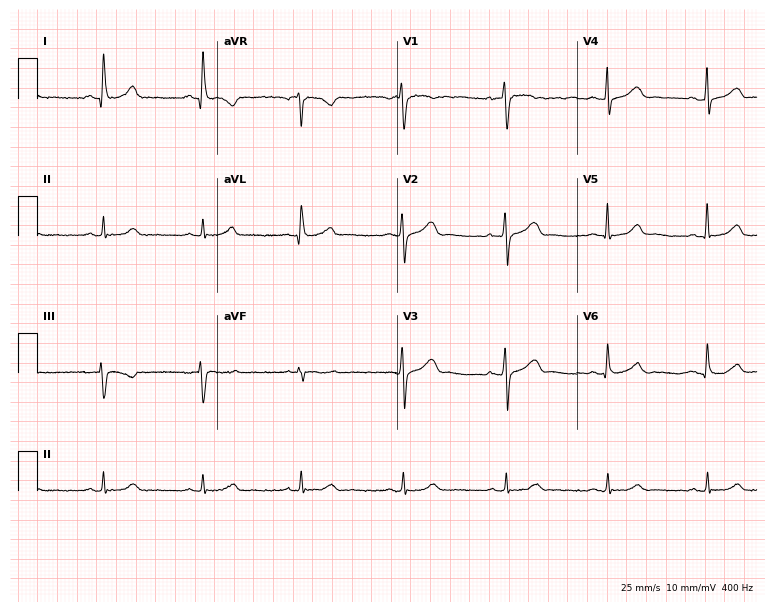
12-lead ECG (7.3-second recording at 400 Hz) from a female, 60 years old. Labelled as a normal ECG.